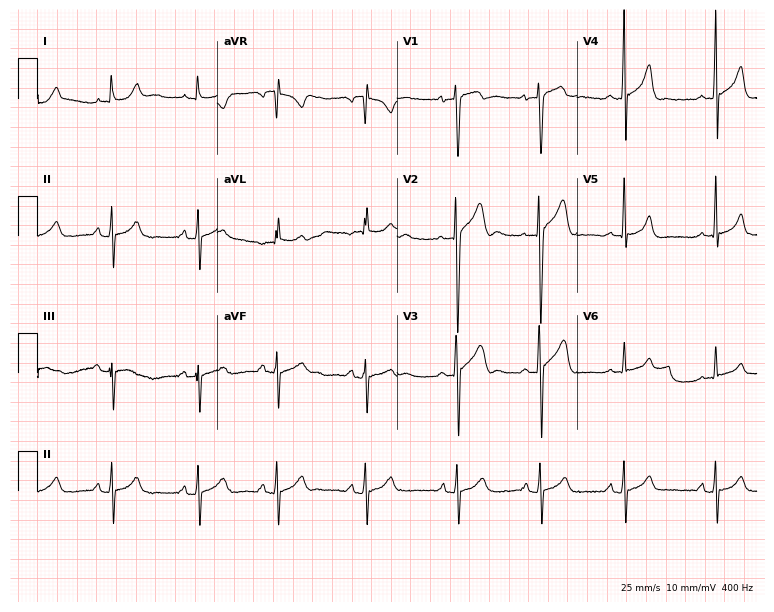
Standard 12-lead ECG recorded from a 17-year-old male (7.3-second recording at 400 Hz). Read as a normal ECG.